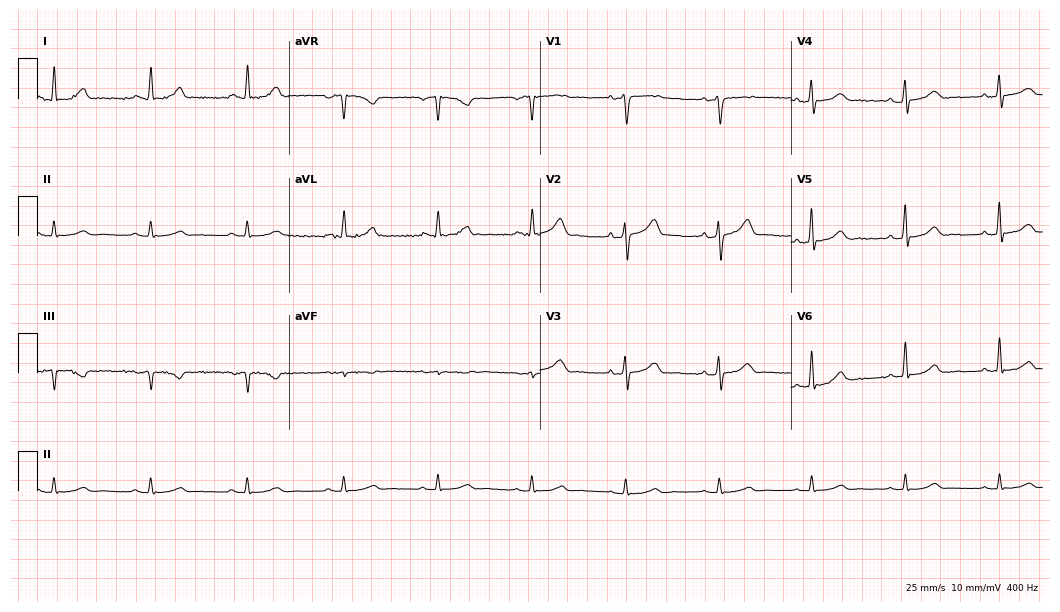
12-lead ECG from a man, 51 years old. Recorded interpretation: within normal limits.